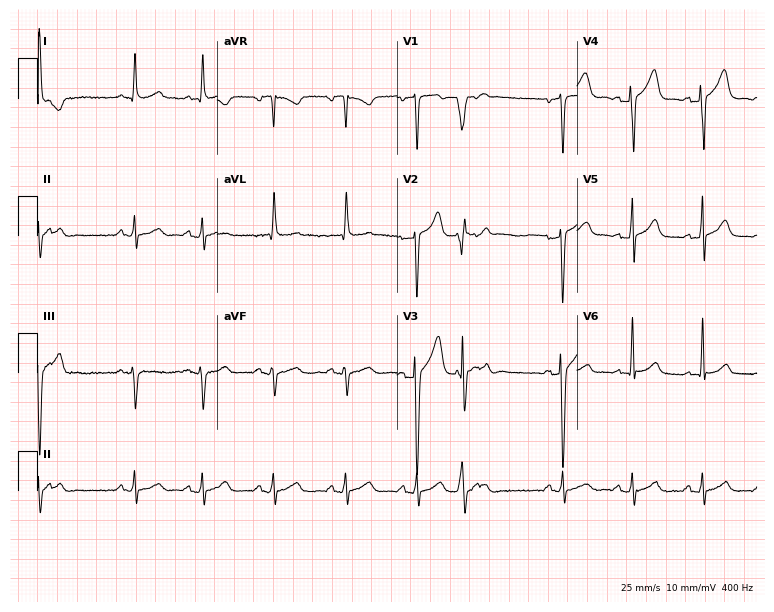
12-lead ECG (7.3-second recording at 400 Hz) from a 44-year-old man. Screened for six findings — first-degree AV block, right bundle branch block (RBBB), left bundle branch block (LBBB), sinus bradycardia, atrial fibrillation (AF), sinus tachycardia — none is recorded. Findings outside these six are not listed.